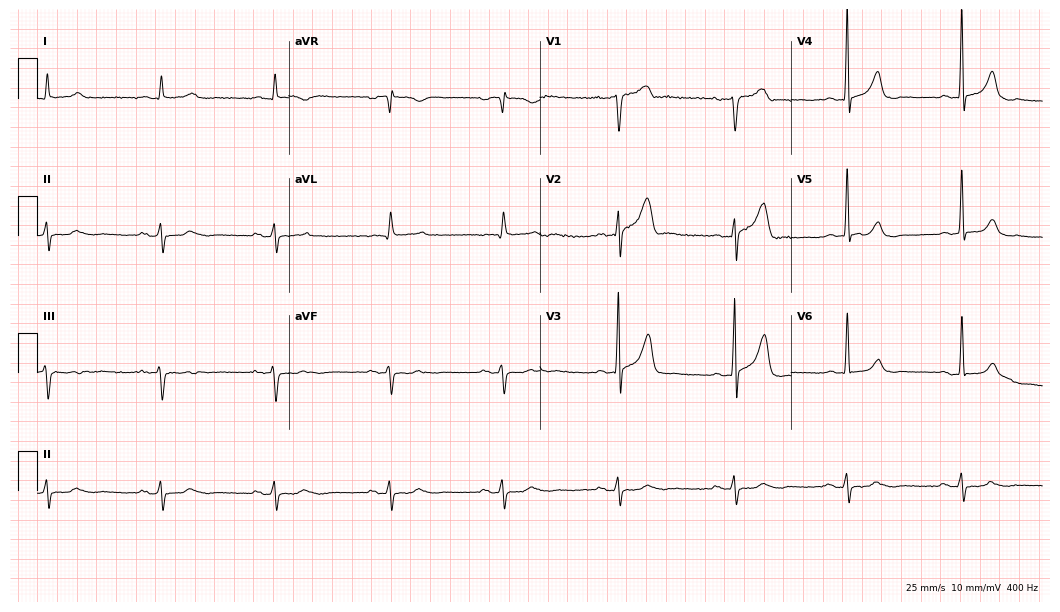
12-lead ECG from a 57-year-old man. Labelled as a normal ECG.